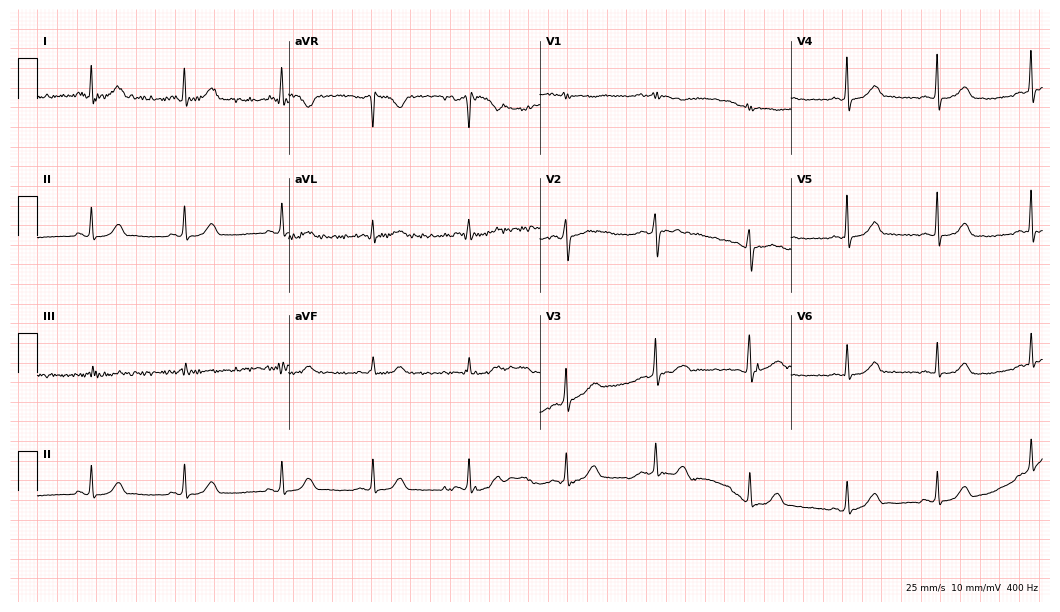
Resting 12-lead electrocardiogram. Patient: a woman, 19 years old. None of these six findings is recorded: first-degree AV block, right bundle branch block, left bundle branch block, sinus bradycardia, atrial fibrillation, sinus tachycardia.